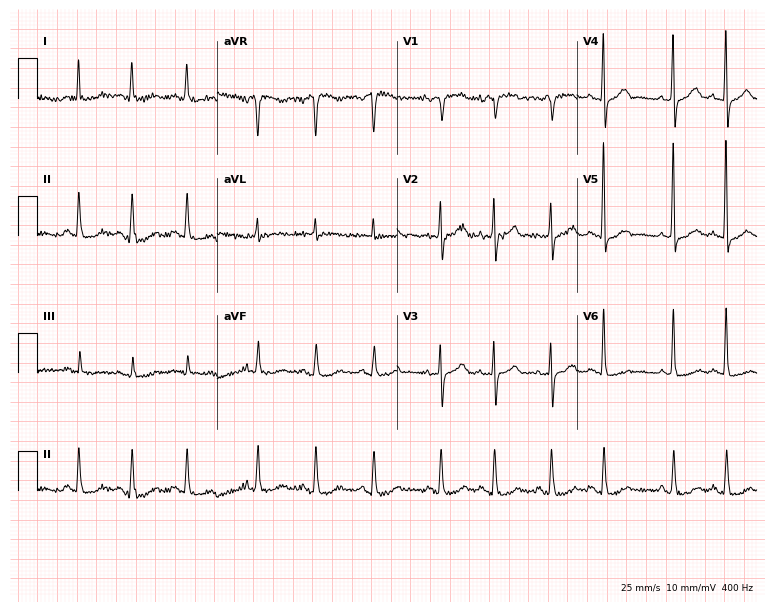
Resting 12-lead electrocardiogram. Patient: an 84-year-old female. The tracing shows atrial fibrillation (AF).